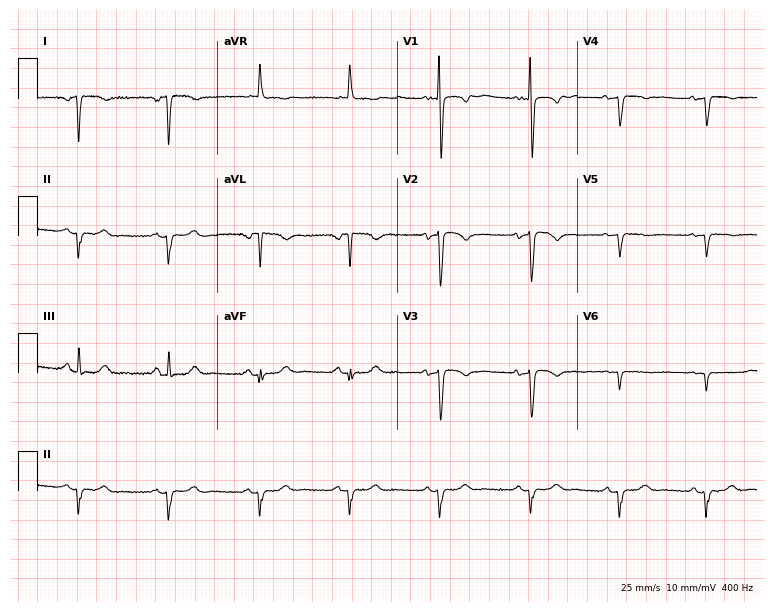
ECG — a female patient, 74 years old. Screened for six findings — first-degree AV block, right bundle branch block (RBBB), left bundle branch block (LBBB), sinus bradycardia, atrial fibrillation (AF), sinus tachycardia — none is recorded.